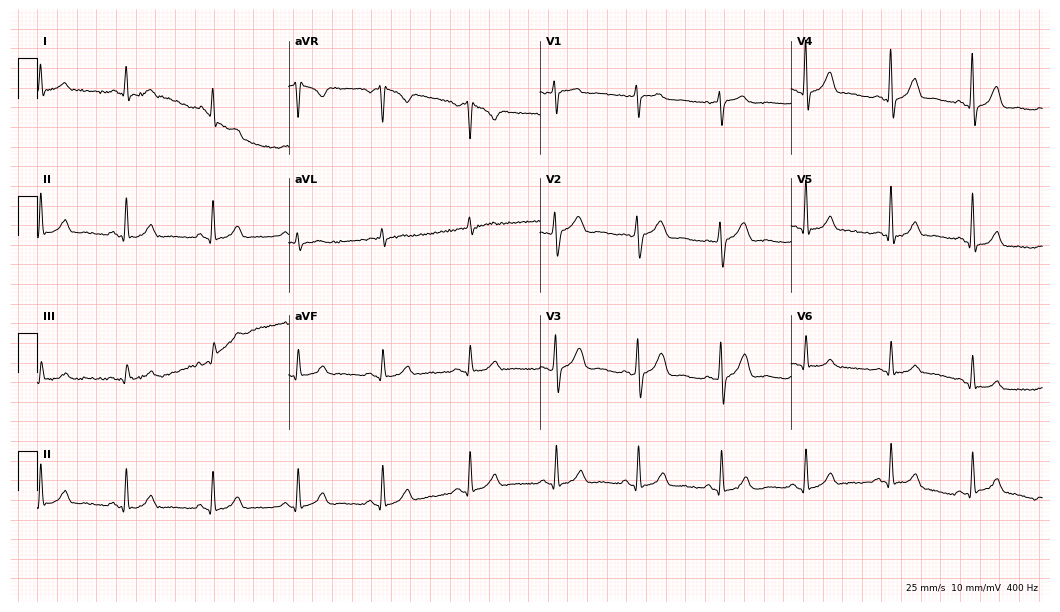
Electrocardiogram, a 57-year-old man. Overall reading on record: normal ECG.